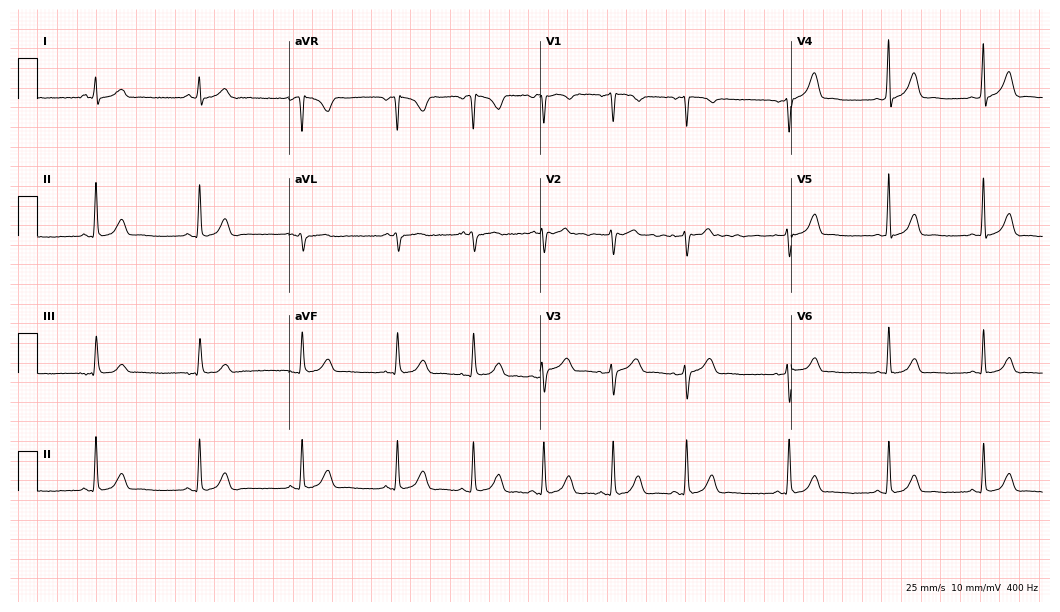
Electrocardiogram (10.2-second recording at 400 Hz), a 41-year-old female. Overall reading on record: normal ECG.